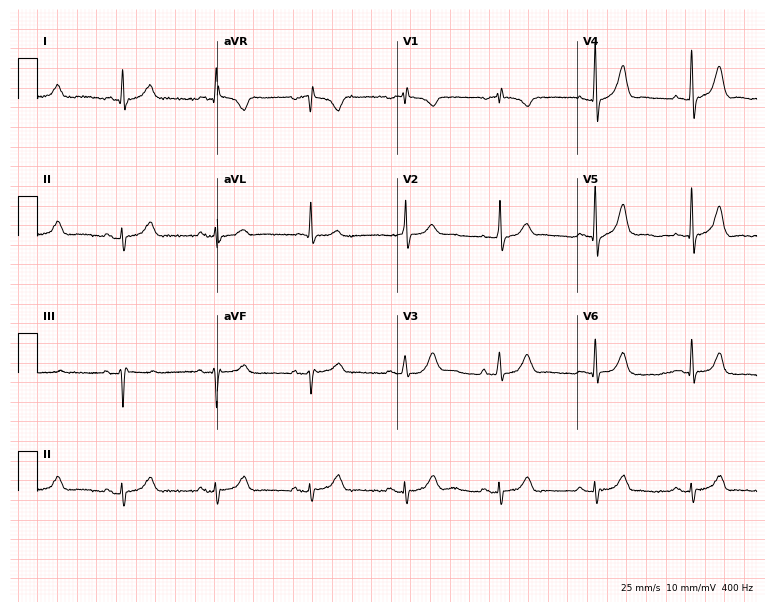
12-lead ECG from a male, 85 years old (7.3-second recording at 400 Hz). No first-degree AV block, right bundle branch block, left bundle branch block, sinus bradycardia, atrial fibrillation or sinus tachycardia recorded for this tracing.